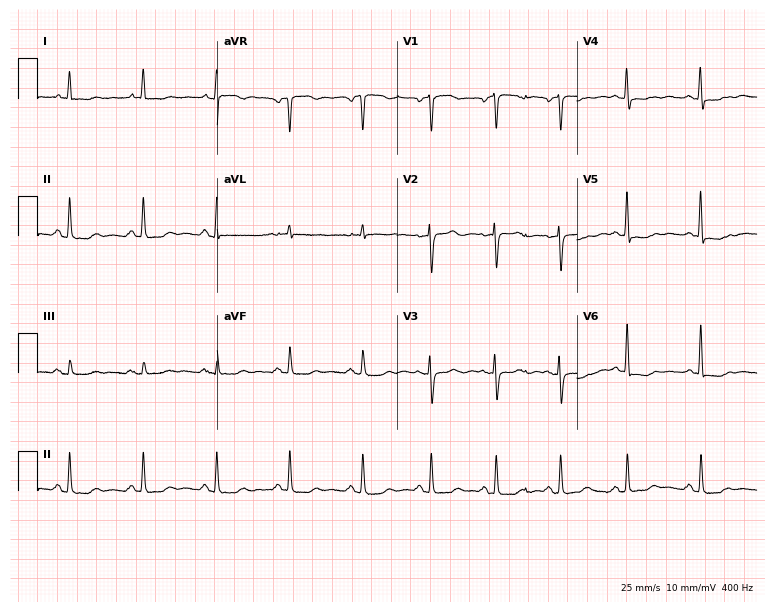
12-lead ECG from a female, 65 years old (7.3-second recording at 400 Hz). No first-degree AV block, right bundle branch block, left bundle branch block, sinus bradycardia, atrial fibrillation or sinus tachycardia recorded for this tracing.